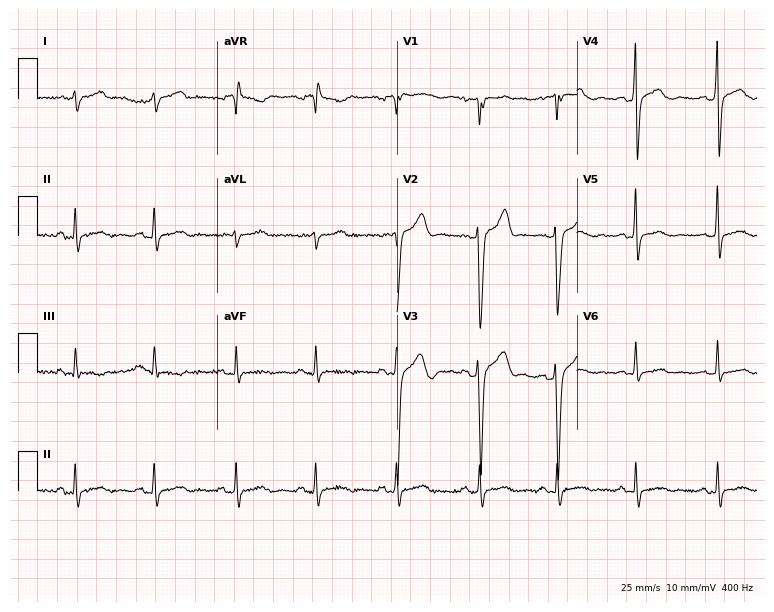
ECG (7.3-second recording at 400 Hz) — a man, 34 years old. Labelled as a normal ECG.